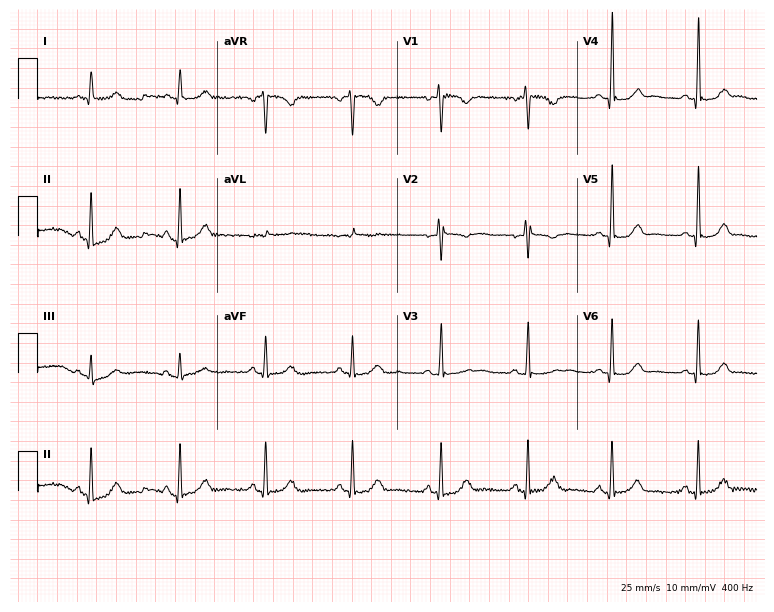
Standard 12-lead ECG recorded from a female patient, 34 years old. Read as a normal ECG.